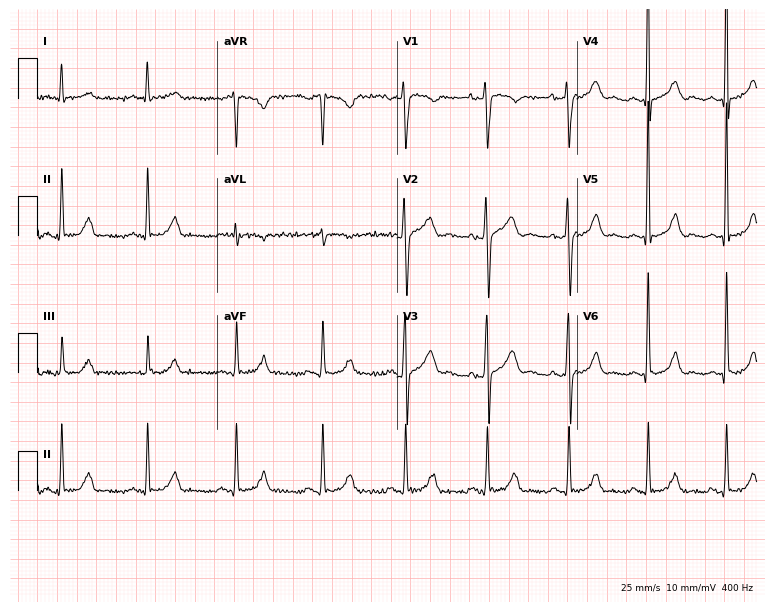
Standard 12-lead ECG recorded from a male, 53 years old (7.3-second recording at 400 Hz). Read as a normal ECG.